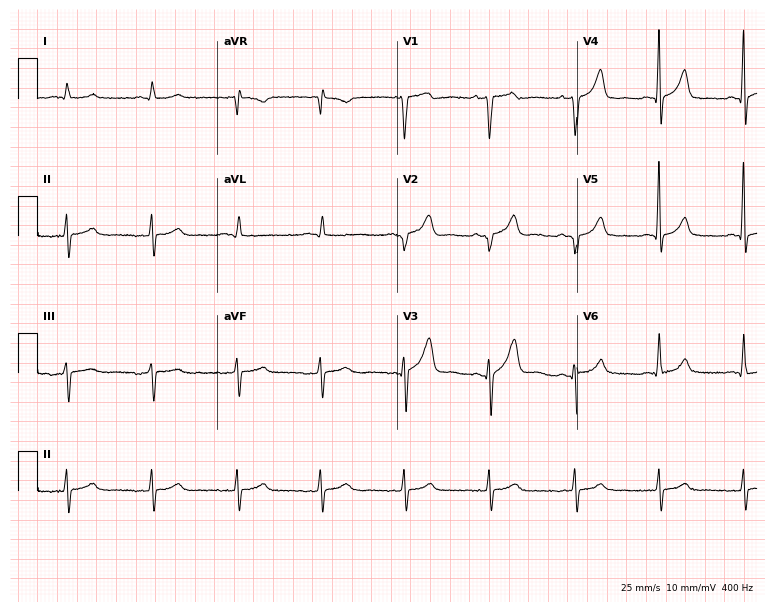
12-lead ECG from a man, 79 years old. Labelled as a normal ECG.